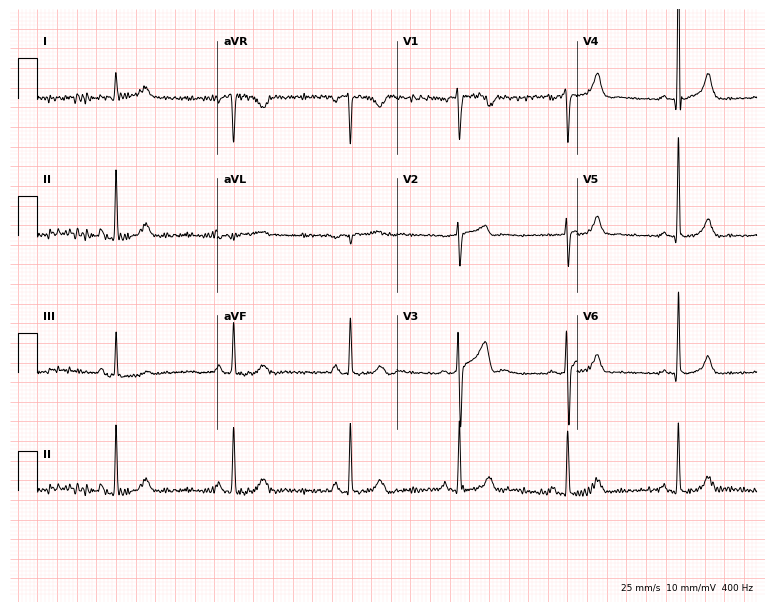
Electrocardiogram, a 44-year-old male patient. Of the six screened findings (first-degree AV block, right bundle branch block, left bundle branch block, sinus bradycardia, atrial fibrillation, sinus tachycardia), none is recorded. Only these six findings were labelled.